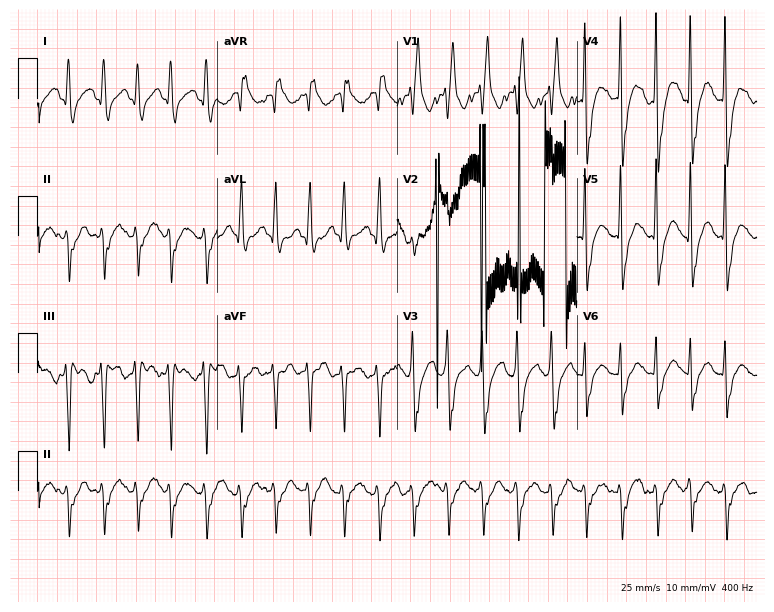
12-lead ECG from a 57-year-old male patient. Shows right bundle branch block, sinus tachycardia (a sinus rate of 100 beats per minute or more).